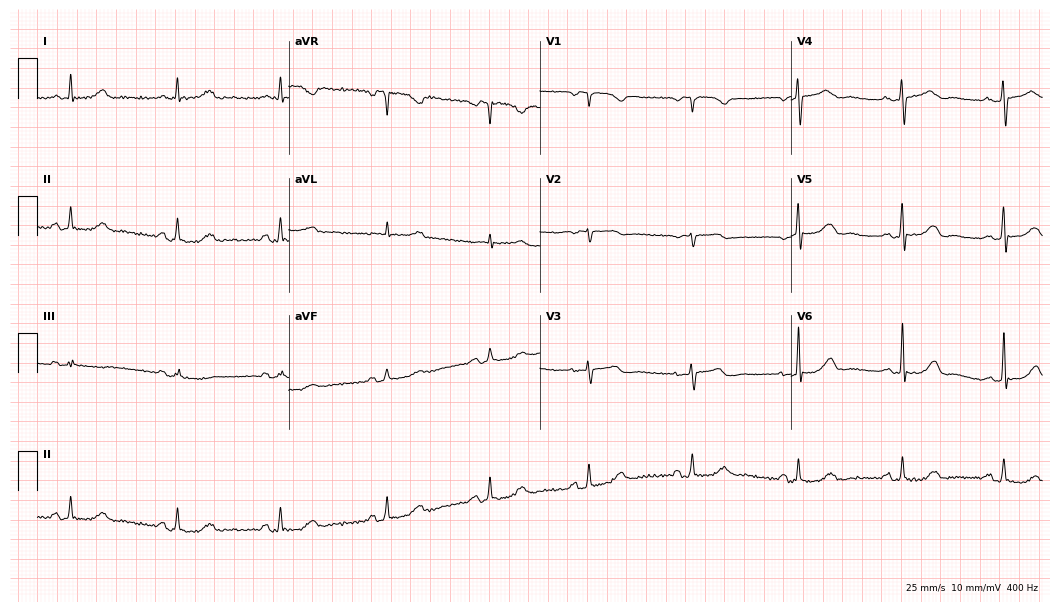
Resting 12-lead electrocardiogram. Patient: a 59-year-old woman. Read as a normal ECG.